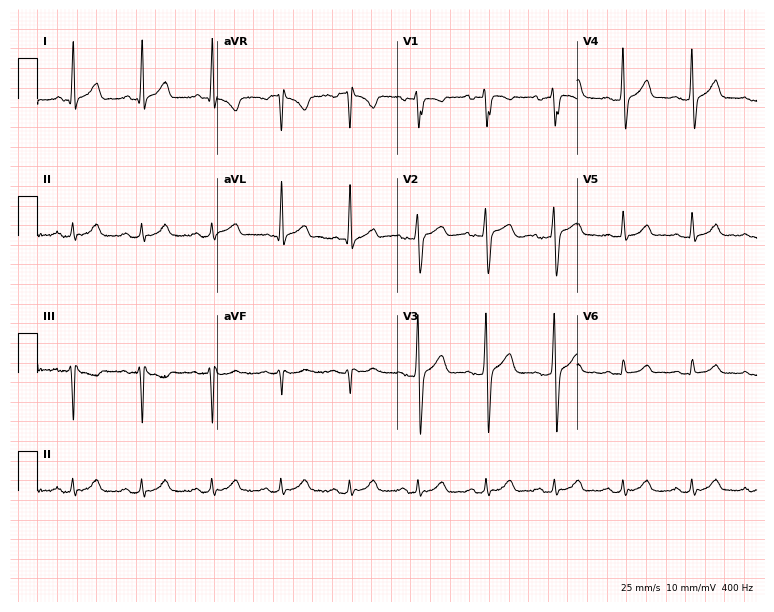
Resting 12-lead electrocardiogram (7.3-second recording at 400 Hz). Patient: a male, 31 years old. Read as a normal ECG.